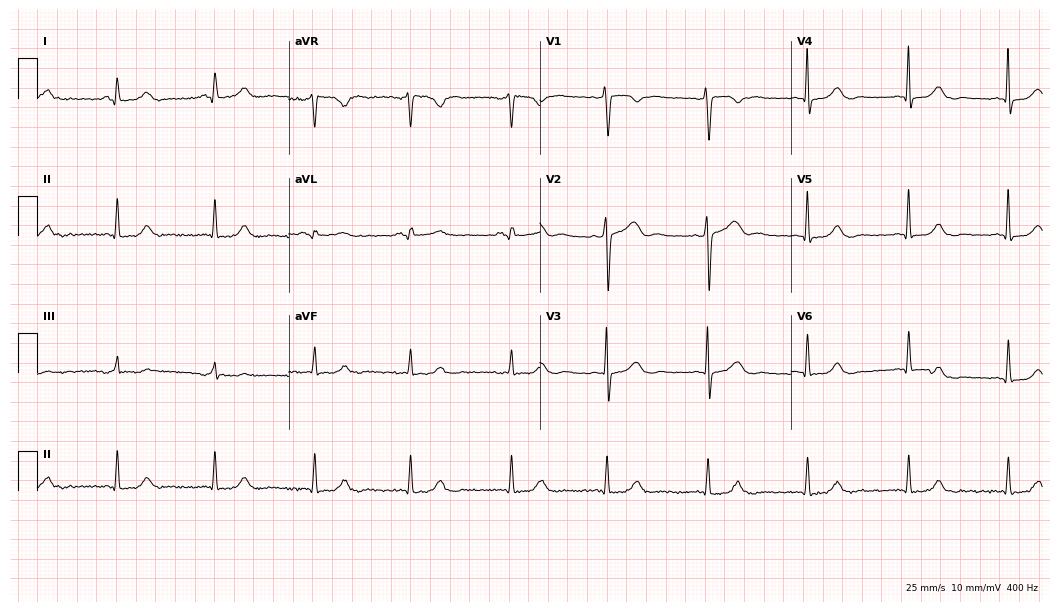
Resting 12-lead electrocardiogram (10.2-second recording at 400 Hz). Patient: a female, 51 years old. Read as a normal ECG.